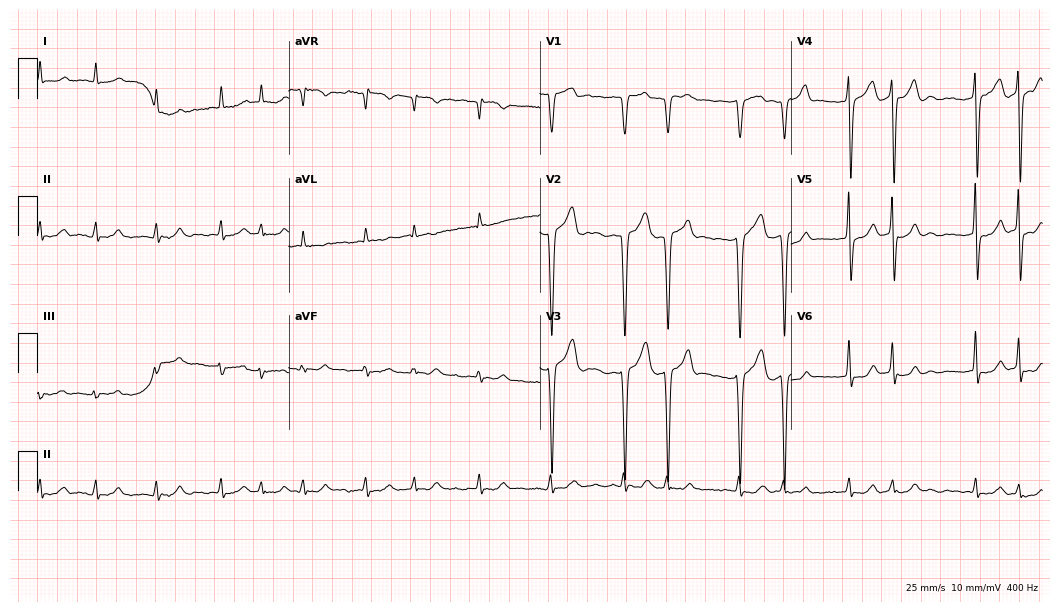
Standard 12-lead ECG recorded from a male, 78 years old. The tracing shows atrial fibrillation.